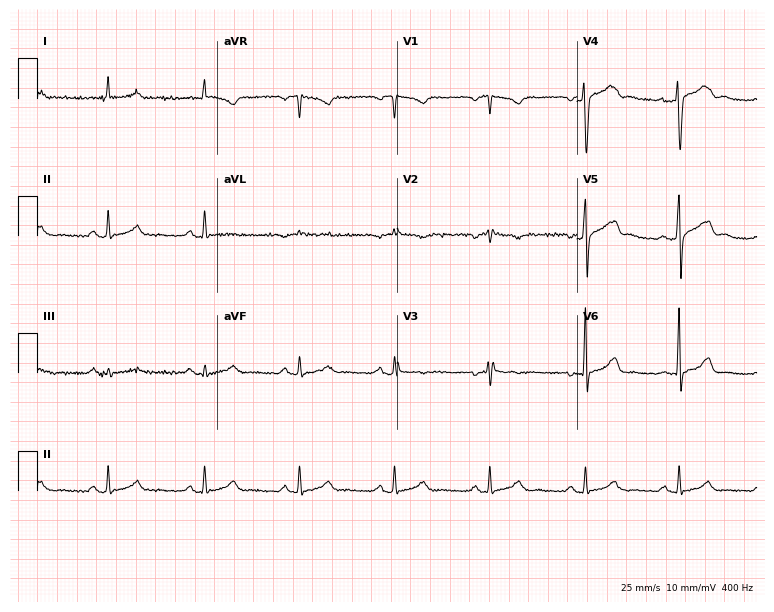
ECG (7.3-second recording at 400 Hz) — a 56-year-old male patient. Screened for six findings — first-degree AV block, right bundle branch block (RBBB), left bundle branch block (LBBB), sinus bradycardia, atrial fibrillation (AF), sinus tachycardia — none is recorded. Other findings, if any, are not listed.